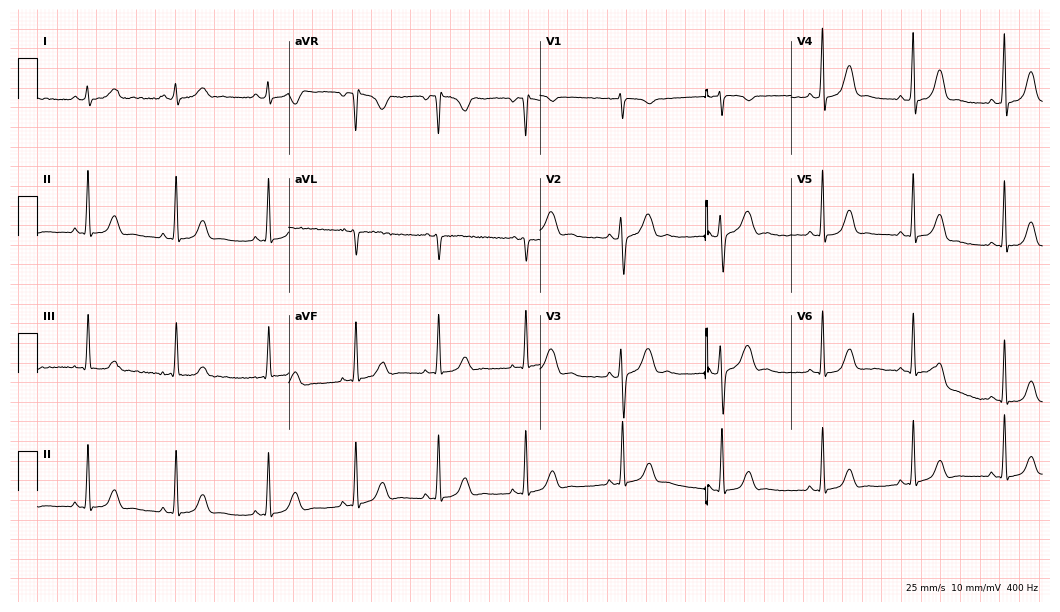
ECG — a female, 19 years old. Screened for six findings — first-degree AV block, right bundle branch block, left bundle branch block, sinus bradycardia, atrial fibrillation, sinus tachycardia — none is recorded. Findings outside these six are not listed.